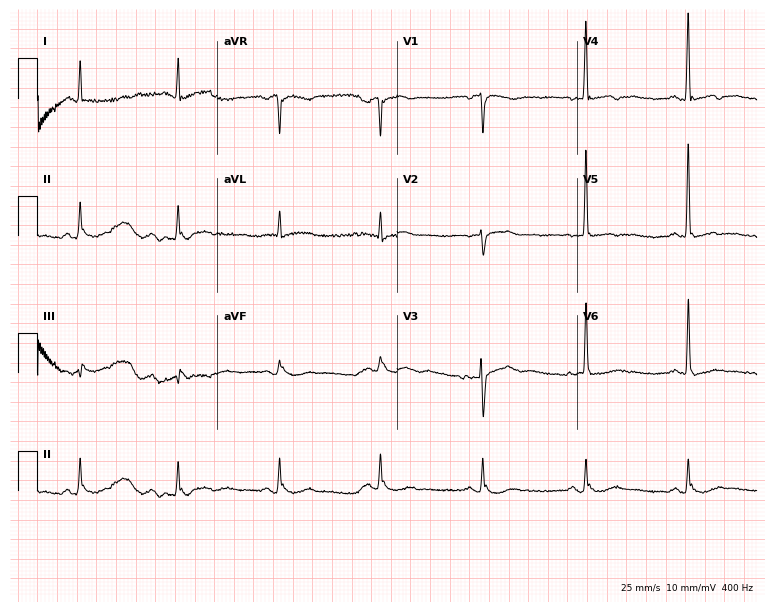
12-lead ECG from a female patient, 59 years old. Recorded interpretation: within normal limits.